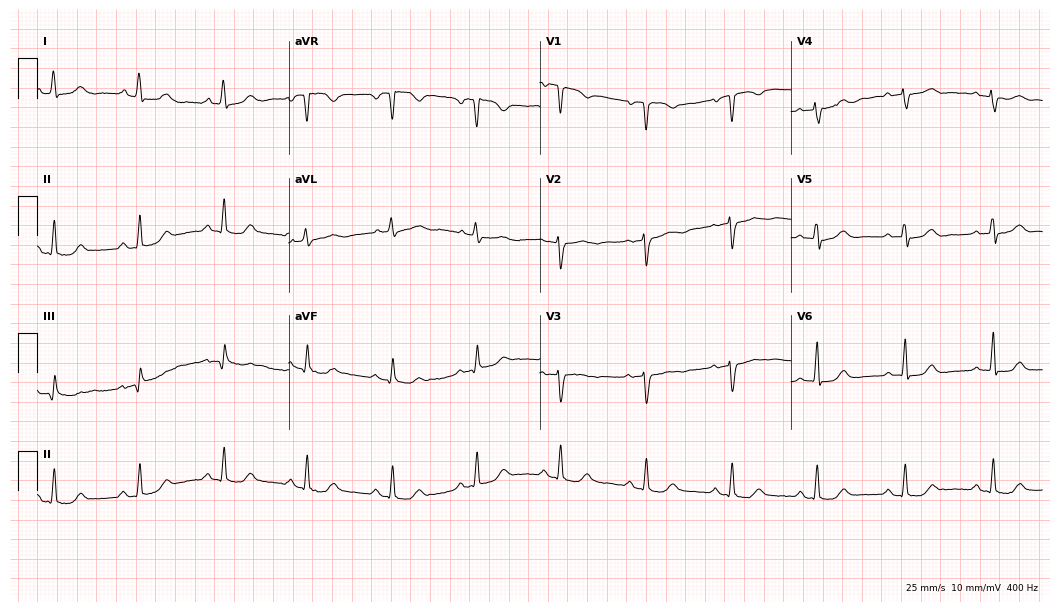
12-lead ECG from a 73-year-old woman (10.2-second recording at 400 Hz). Recorded interpretation: within normal limits.